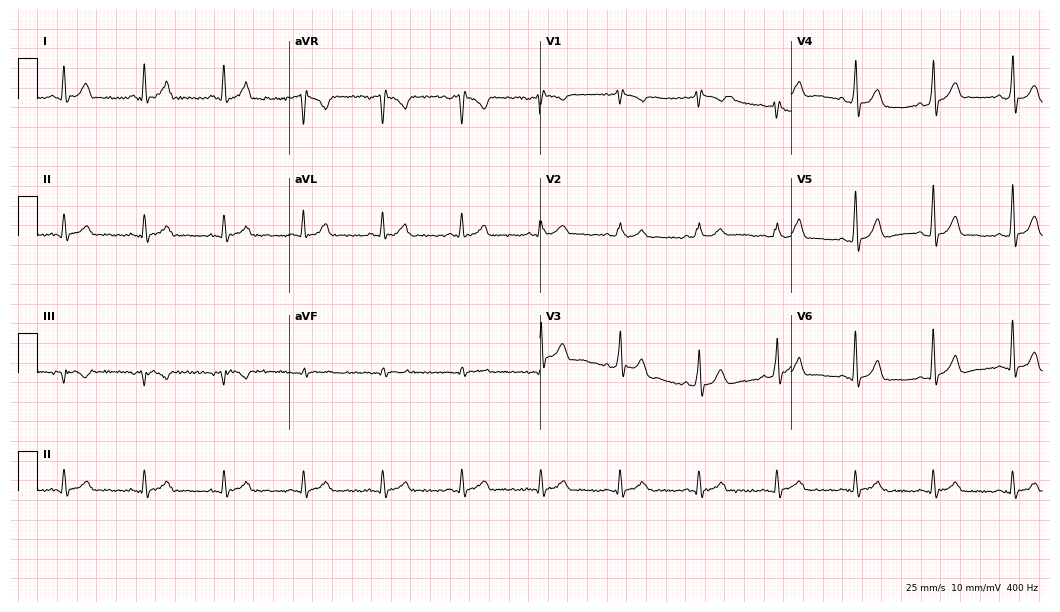
12-lead ECG (10.2-second recording at 400 Hz) from a 50-year-old man. Labelled as a normal ECG.